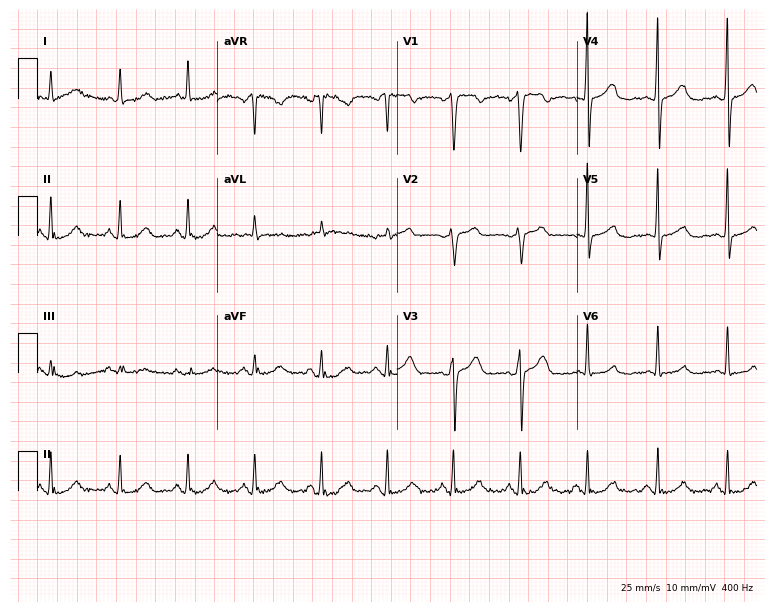
12-lead ECG from a 54-year-old man (7.3-second recording at 400 Hz). No first-degree AV block, right bundle branch block (RBBB), left bundle branch block (LBBB), sinus bradycardia, atrial fibrillation (AF) or sinus tachycardia recorded for this tracing. Findings outside these six are not listed.